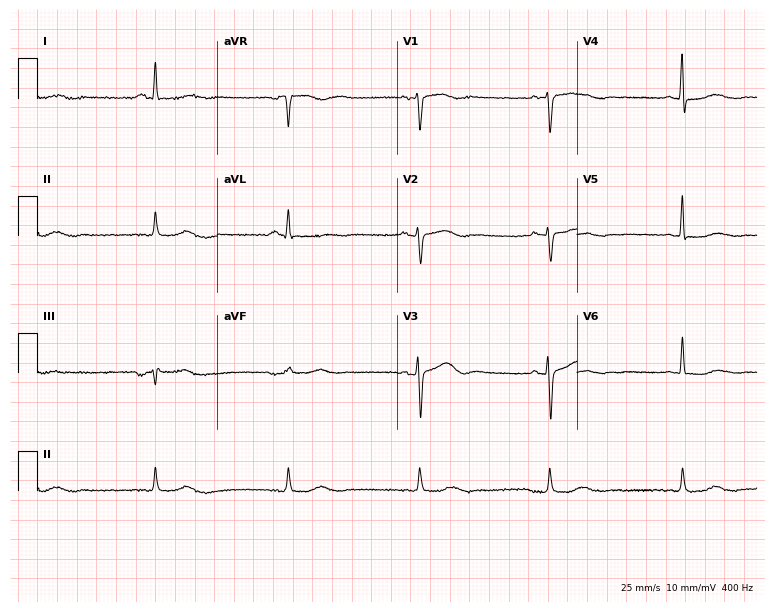
Resting 12-lead electrocardiogram (7.3-second recording at 400 Hz). Patient: a female, 62 years old. The tracing shows sinus bradycardia (a sinus rate of 50 beats per minute or less).